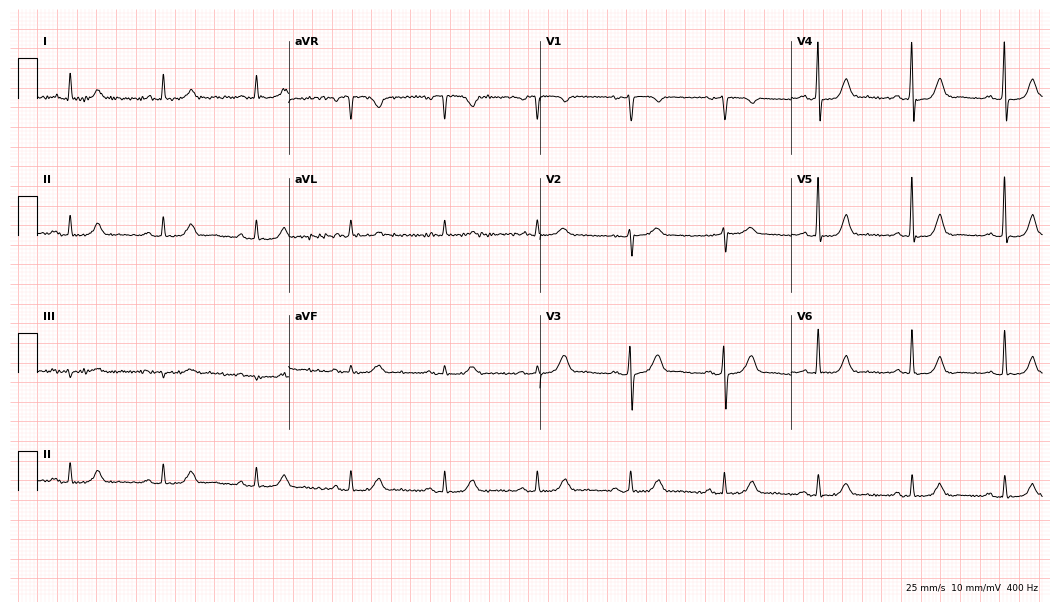
ECG (10.2-second recording at 400 Hz) — a female patient, 69 years old. Labelled as a normal ECG.